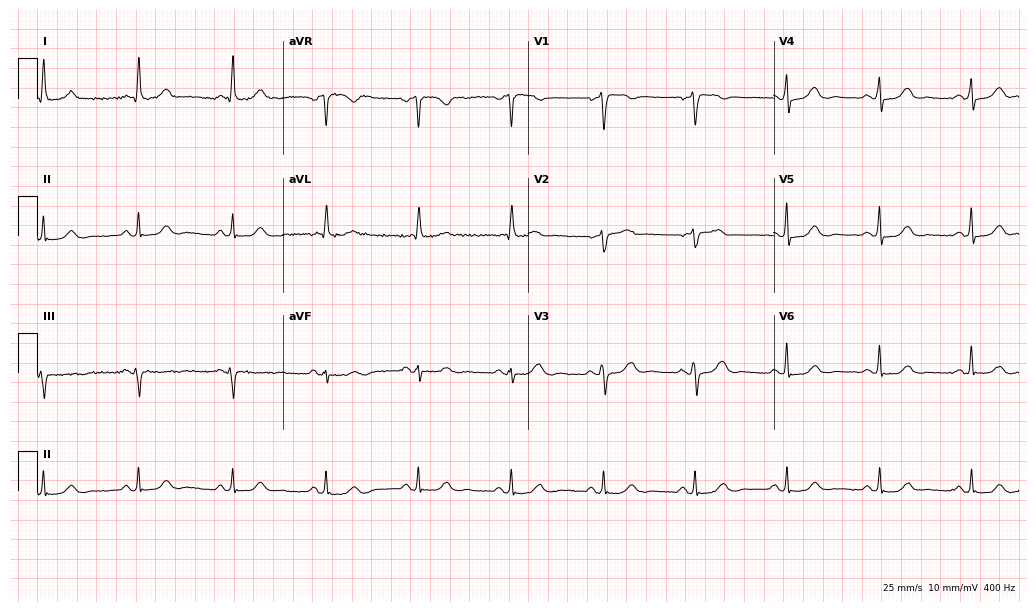
Standard 12-lead ECG recorded from a 65-year-old female patient. None of these six findings is recorded: first-degree AV block, right bundle branch block, left bundle branch block, sinus bradycardia, atrial fibrillation, sinus tachycardia. Findings outside these six are not listed.